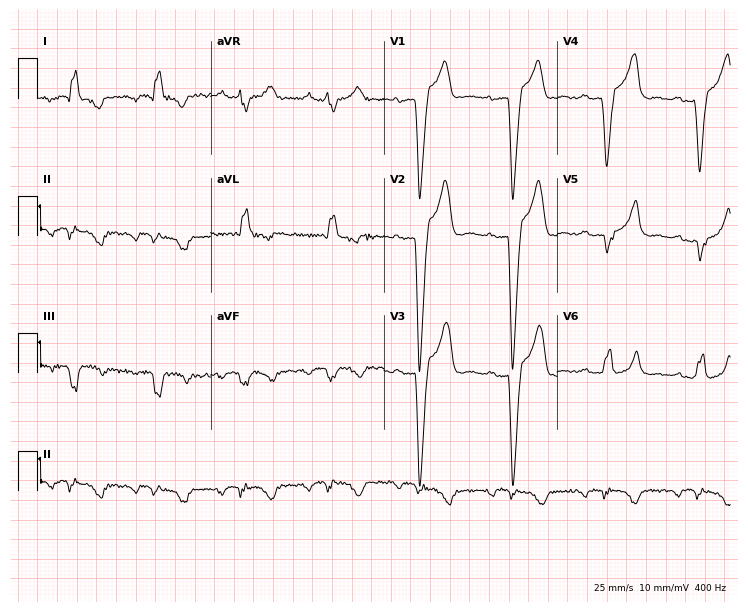
ECG (7.1-second recording at 400 Hz) — a 73-year-old male. Screened for six findings — first-degree AV block, right bundle branch block, left bundle branch block, sinus bradycardia, atrial fibrillation, sinus tachycardia — none is recorded.